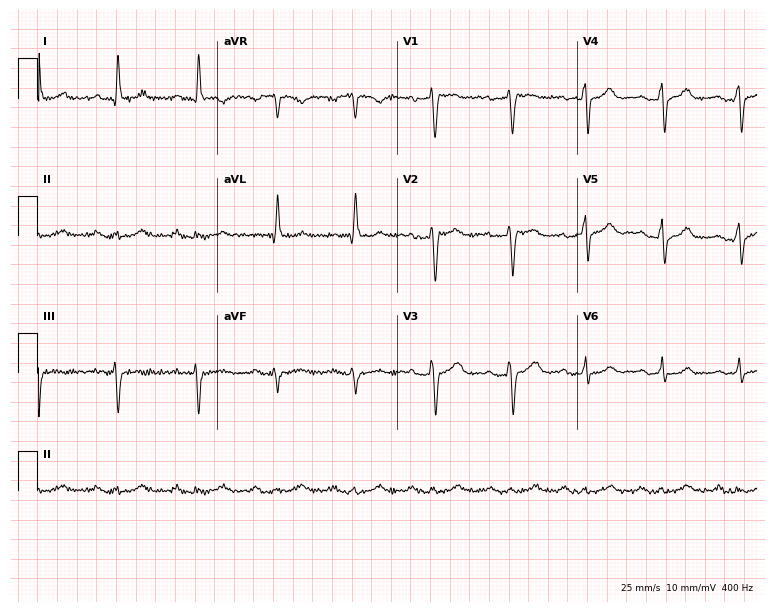
Standard 12-lead ECG recorded from a man, 63 years old. The tracing shows first-degree AV block.